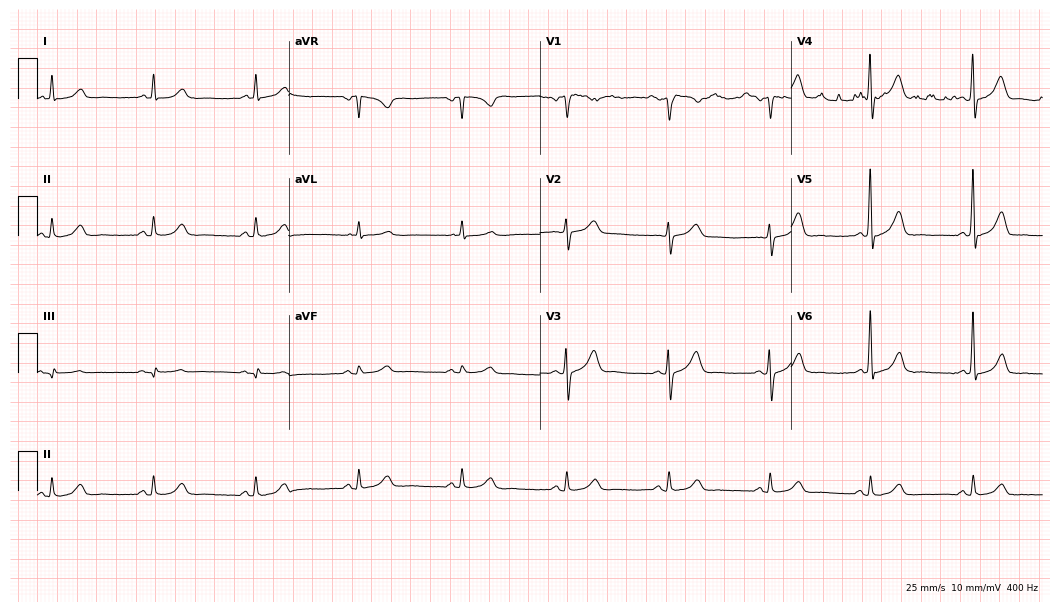
Standard 12-lead ECG recorded from a male patient, 54 years old. None of these six findings is recorded: first-degree AV block, right bundle branch block, left bundle branch block, sinus bradycardia, atrial fibrillation, sinus tachycardia. Only these six findings were labelled.